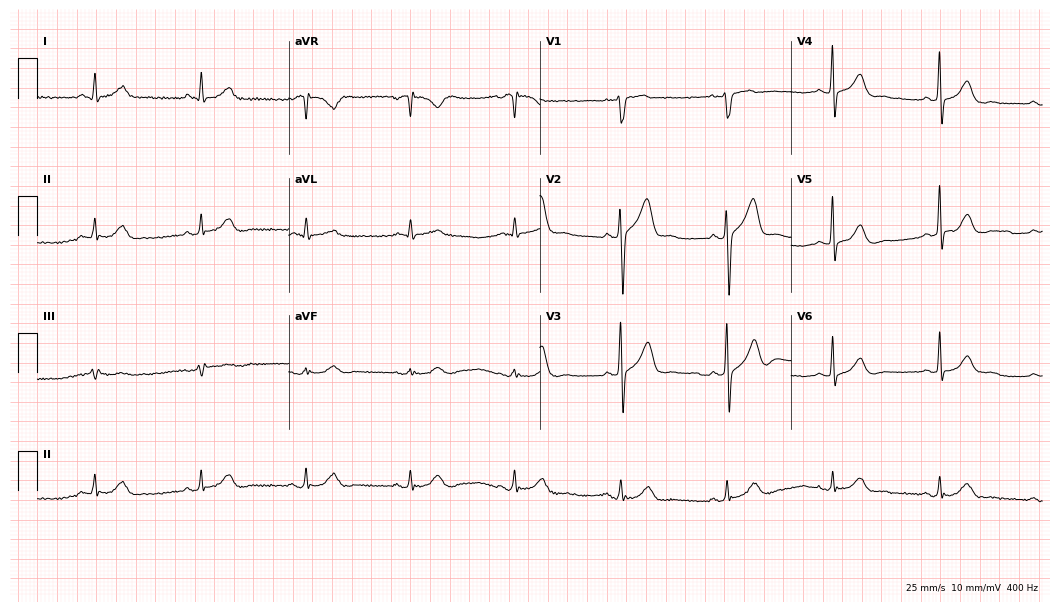
Resting 12-lead electrocardiogram. Patient: a man, 73 years old. Read as a normal ECG.